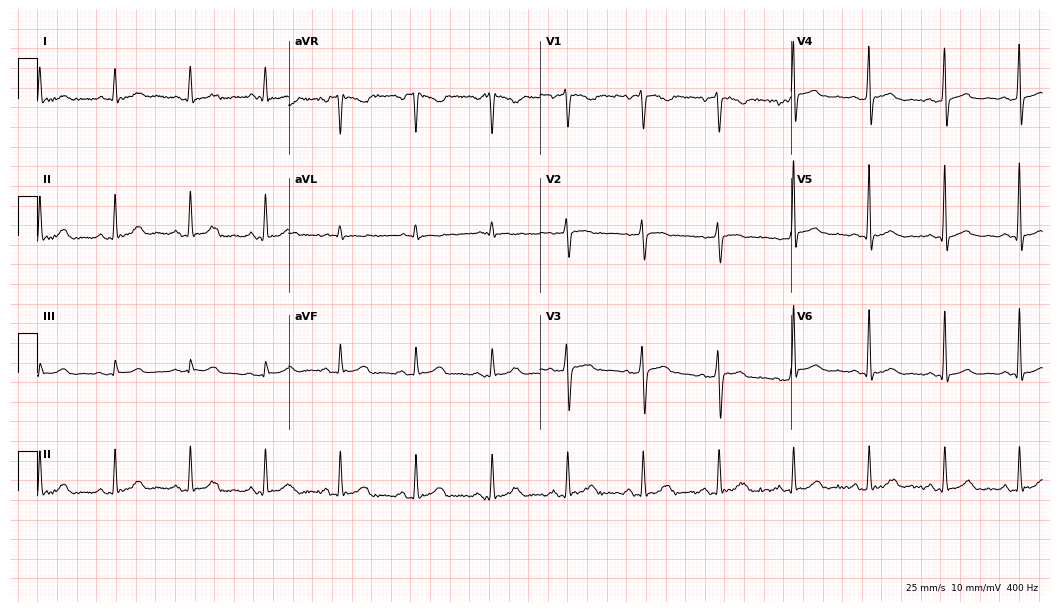
12-lead ECG from a female patient, 52 years old. Screened for six findings — first-degree AV block, right bundle branch block, left bundle branch block, sinus bradycardia, atrial fibrillation, sinus tachycardia — none is recorded. Only these six findings were labelled.